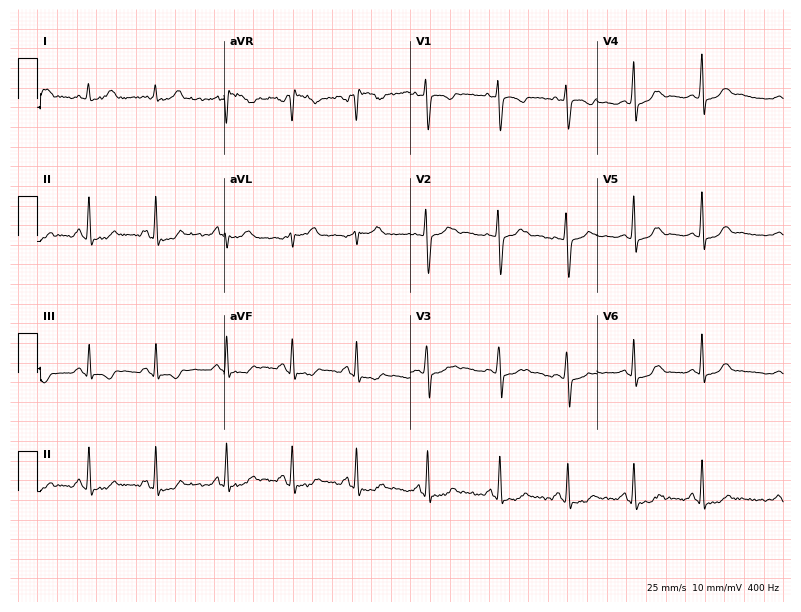
12-lead ECG from a woman, 21 years old. Labelled as a normal ECG.